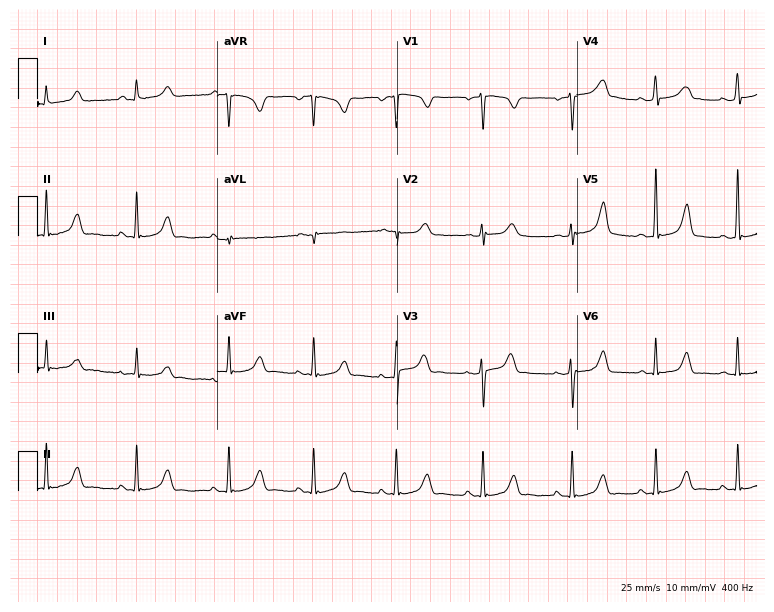
Standard 12-lead ECG recorded from a 33-year-old female patient. None of these six findings is recorded: first-degree AV block, right bundle branch block (RBBB), left bundle branch block (LBBB), sinus bradycardia, atrial fibrillation (AF), sinus tachycardia.